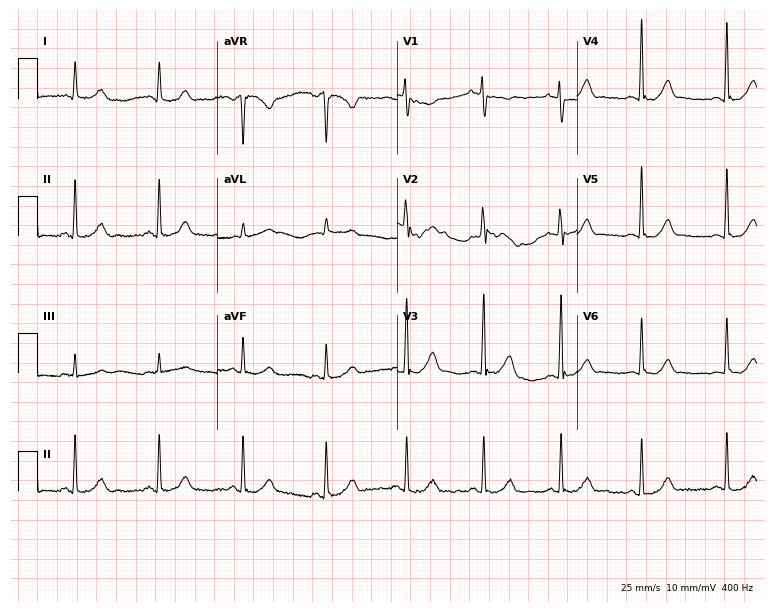
ECG — a woman, 40 years old. Labelled as a normal ECG.